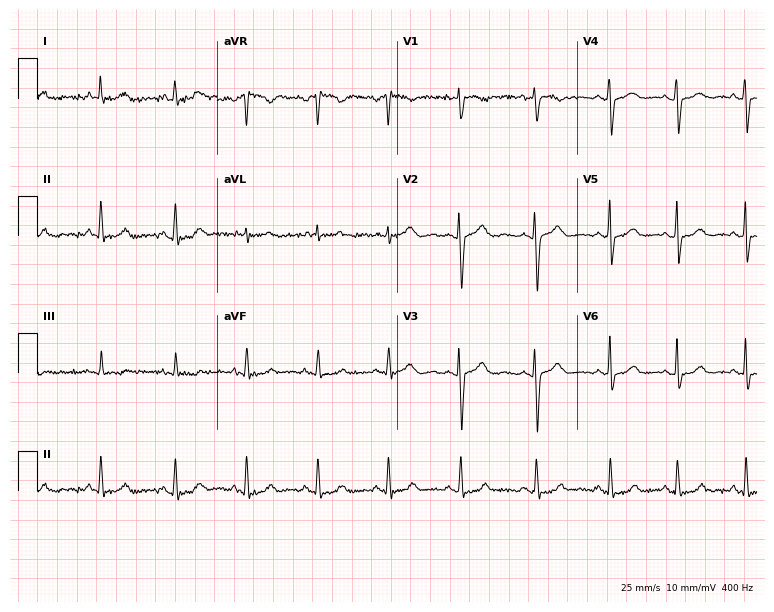
12-lead ECG from a 46-year-old female patient. Labelled as a normal ECG.